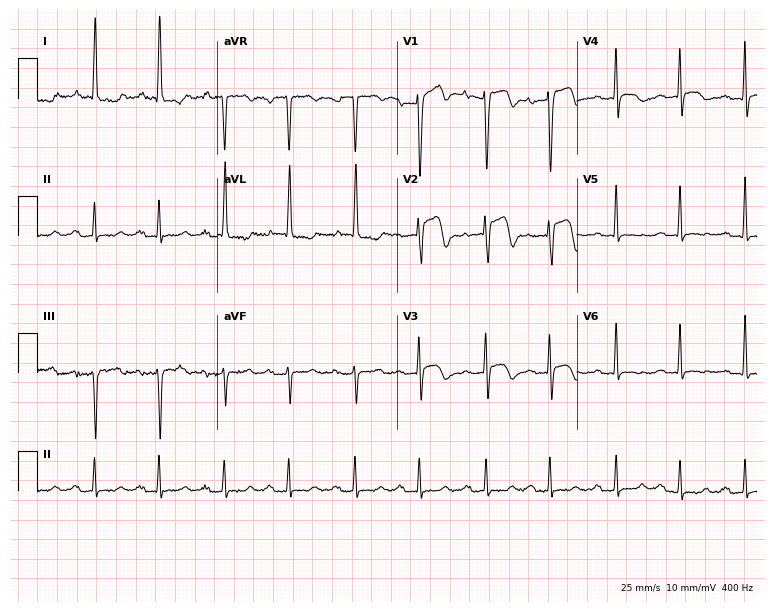
ECG — an 84-year-old female patient. Screened for six findings — first-degree AV block, right bundle branch block, left bundle branch block, sinus bradycardia, atrial fibrillation, sinus tachycardia — none is recorded.